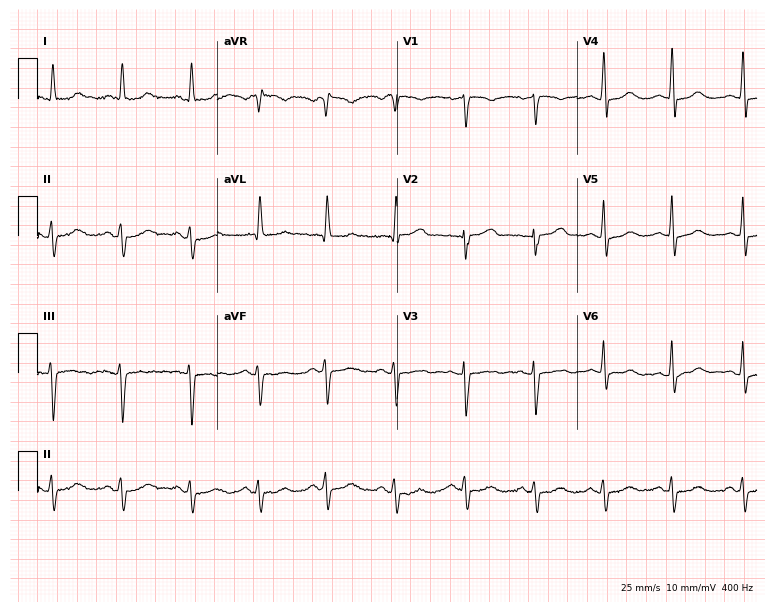
12-lead ECG from a female patient, 81 years old. No first-degree AV block, right bundle branch block (RBBB), left bundle branch block (LBBB), sinus bradycardia, atrial fibrillation (AF) or sinus tachycardia recorded for this tracing.